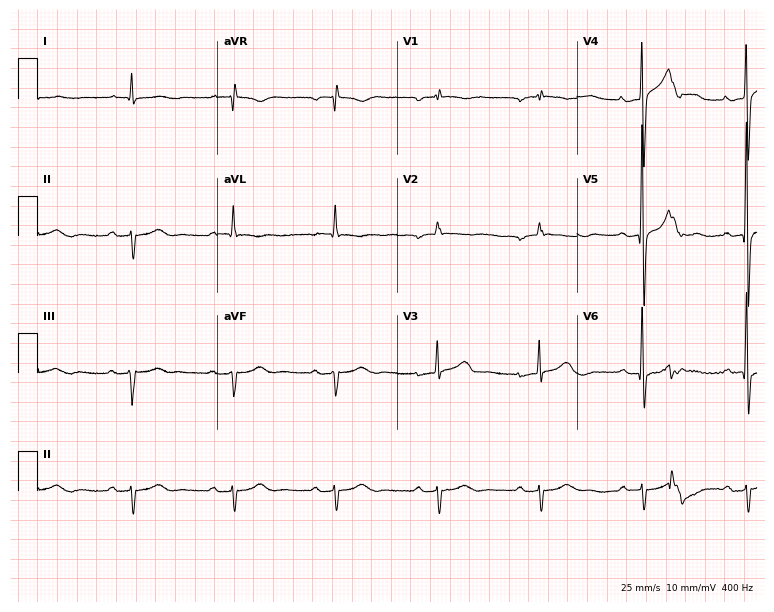
Standard 12-lead ECG recorded from a 41-year-old man (7.3-second recording at 400 Hz). None of these six findings is recorded: first-degree AV block, right bundle branch block, left bundle branch block, sinus bradycardia, atrial fibrillation, sinus tachycardia. Only these six findings were labelled.